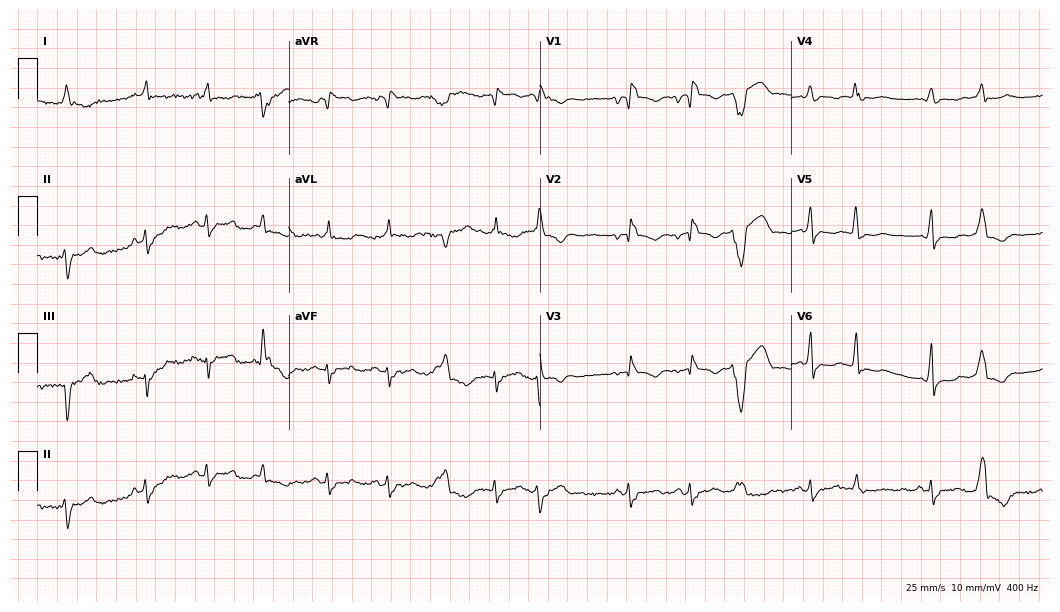
ECG — a 69-year-old female. Findings include right bundle branch block (RBBB).